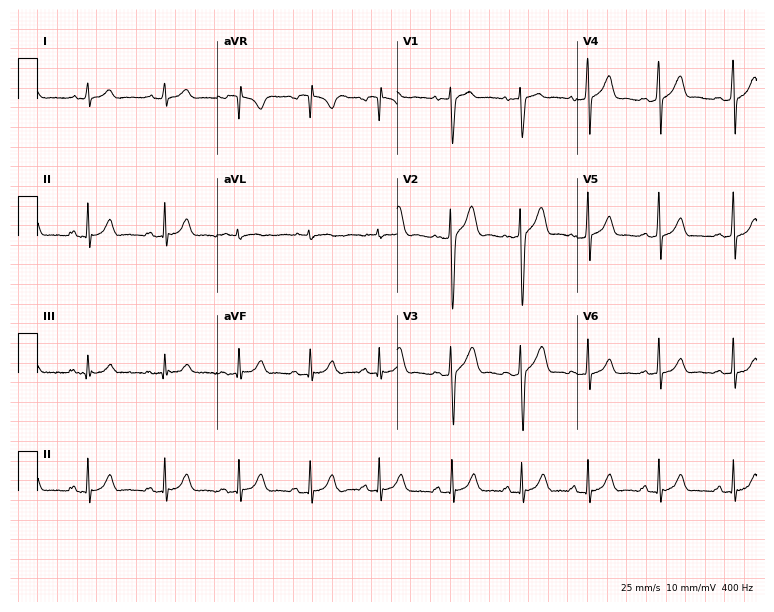
Standard 12-lead ECG recorded from a 19-year-old man (7.3-second recording at 400 Hz). Read as a normal ECG.